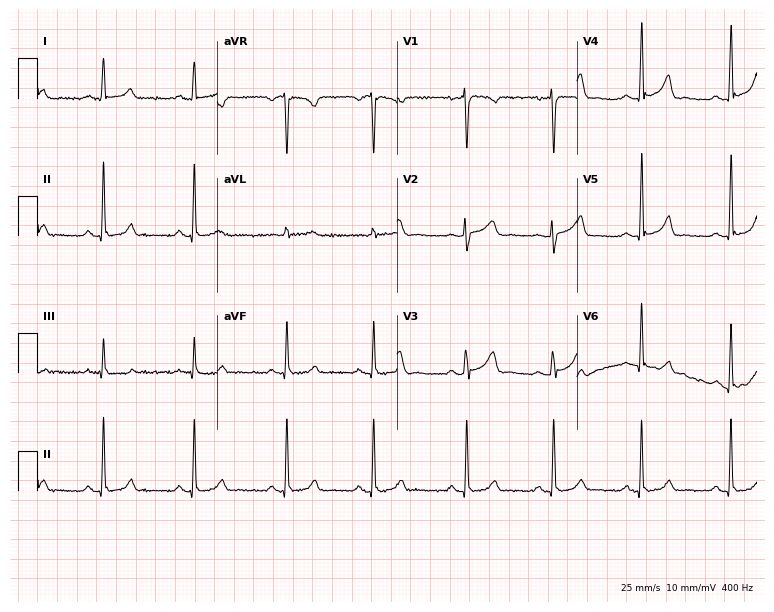
12-lead ECG from a 38-year-old female patient. Labelled as a normal ECG.